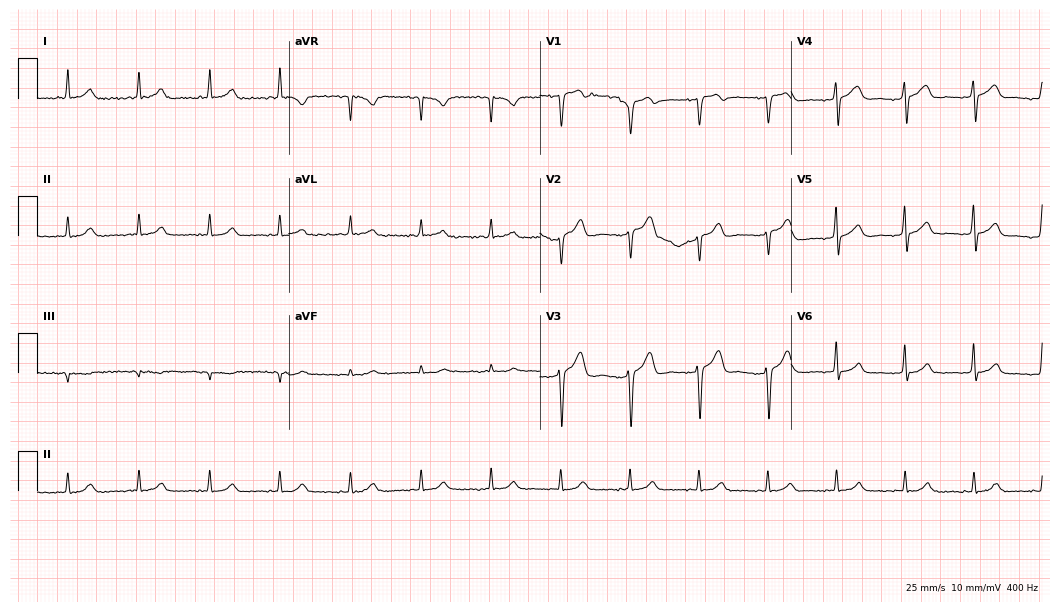
Electrocardiogram (10.2-second recording at 400 Hz), a 37-year-old man. Overall reading on record: normal ECG.